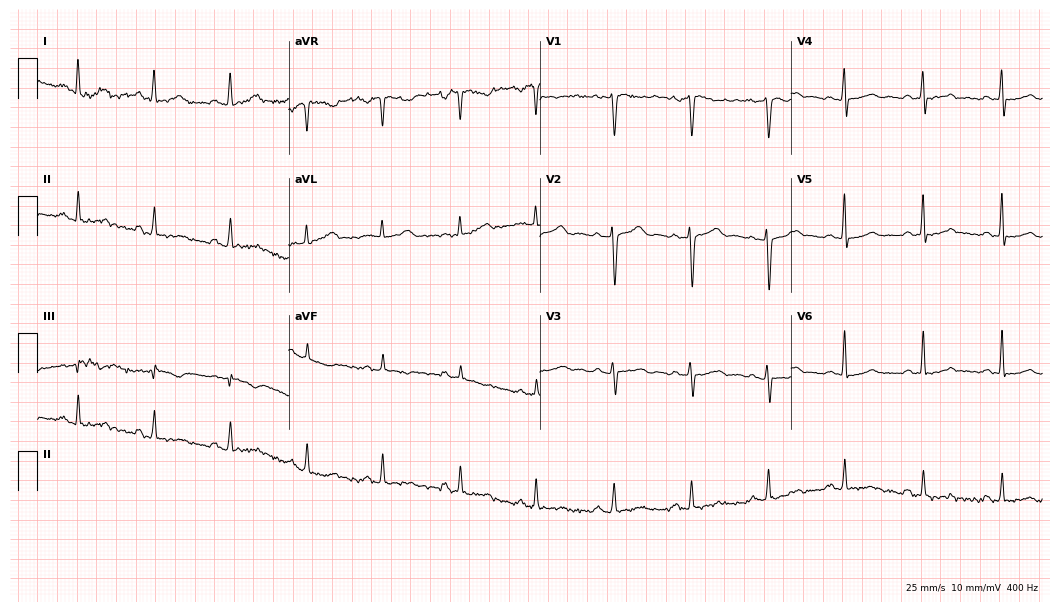
ECG (10.2-second recording at 400 Hz) — a 34-year-old female. Labelled as a normal ECG.